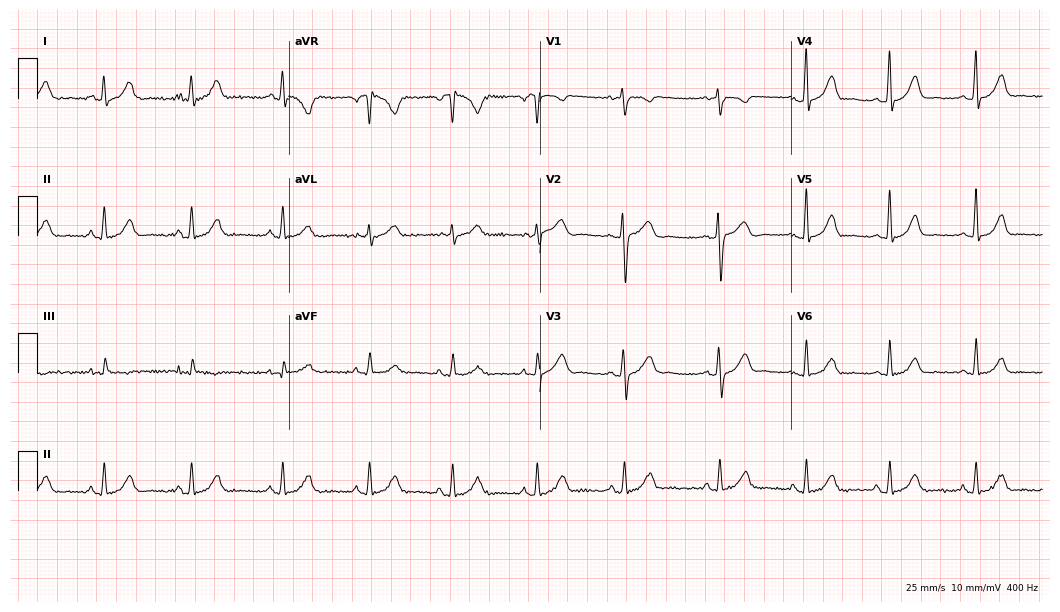
Standard 12-lead ECG recorded from a female patient, 33 years old. Read as a normal ECG.